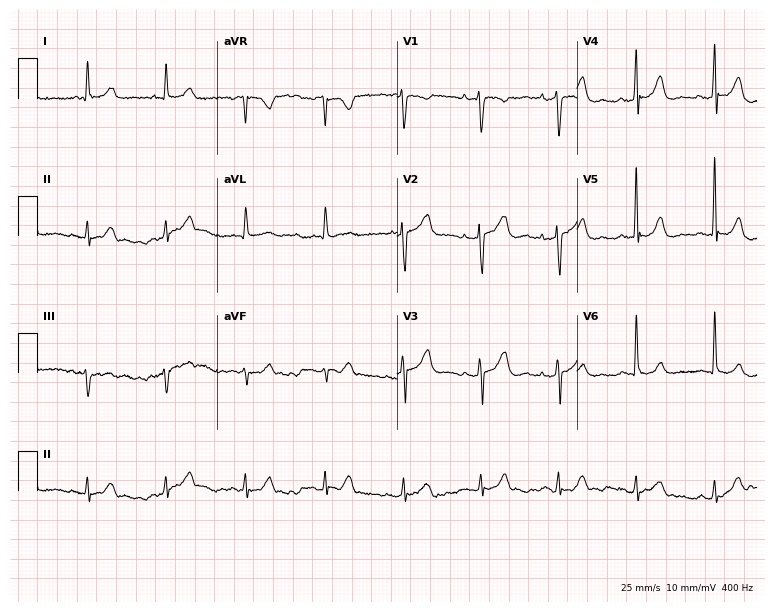
ECG (7.3-second recording at 400 Hz) — a 71-year-old female patient. Labelled as a normal ECG.